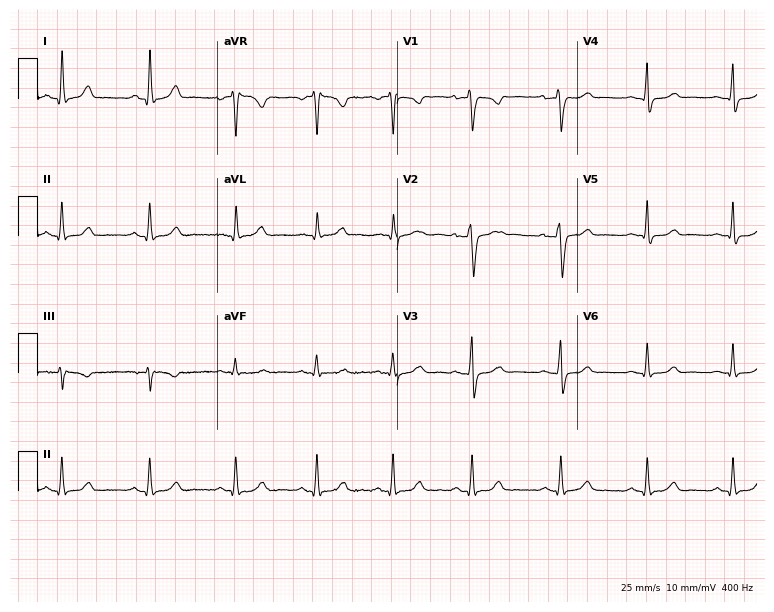
12-lead ECG from a female patient, 34 years old. No first-degree AV block, right bundle branch block (RBBB), left bundle branch block (LBBB), sinus bradycardia, atrial fibrillation (AF) or sinus tachycardia recorded for this tracing. Only these six findings were labelled.